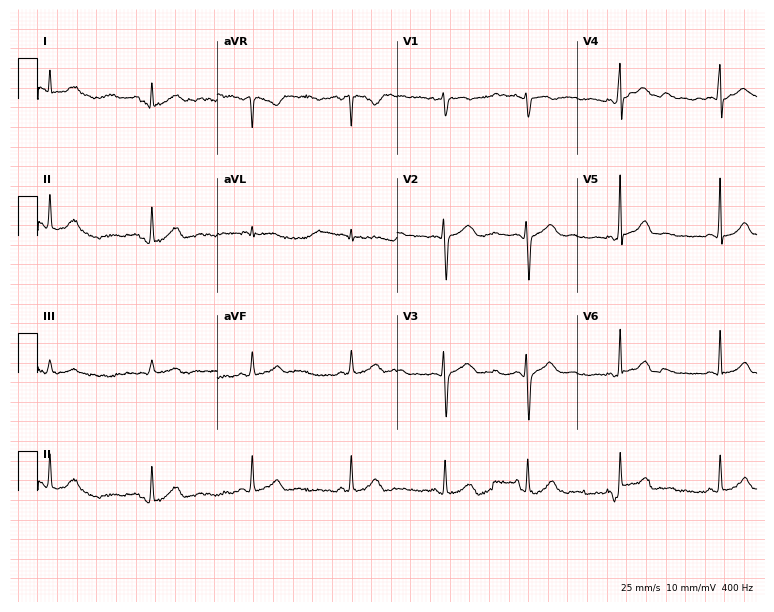
ECG — a female patient, 21 years old. Screened for six findings — first-degree AV block, right bundle branch block (RBBB), left bundle branch block (LBBB), sinus bradycardia, atrial fibrillation (AF), sinus tachycardia — none is recorded.